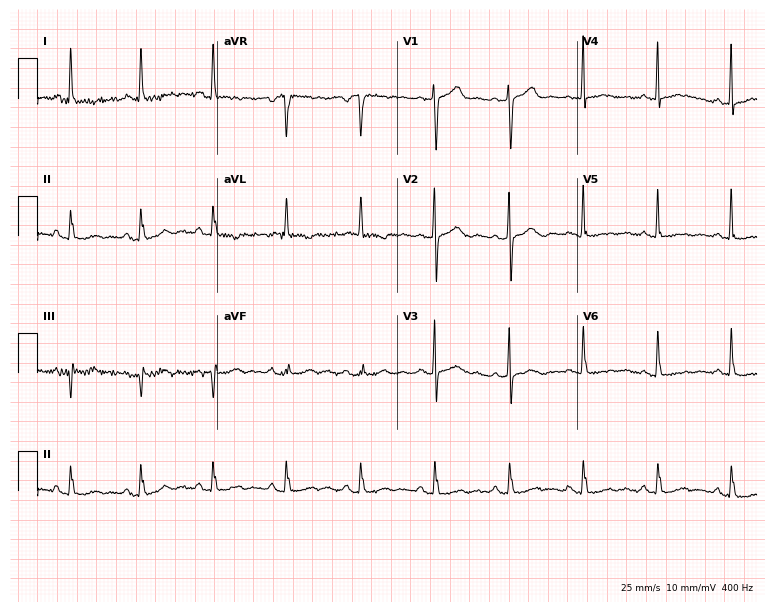
Electrocardiogram (7.3-second recording at 400 Hz), a 79-year-old woman. Of the six screened findings (first-degree AV block, right bundle branch block, left bundle branch block, sinus bradycardia, atrial fibrillation, sinus tachycardia), none is recorded. Only these six findings were labelled.